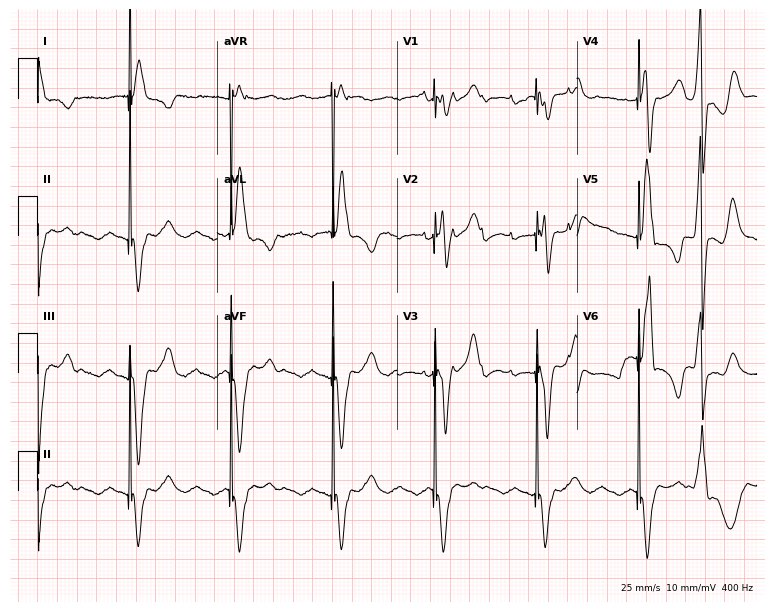
12-lead ECG from a woman, 68 years old. Screened for six findings — first-degree AV block, right bundle branch block (RBBB), left bundle branch block (LBBB), sinus bradycardia, atrial fibrillation (AF), sinus tachycardia — none is recorded.